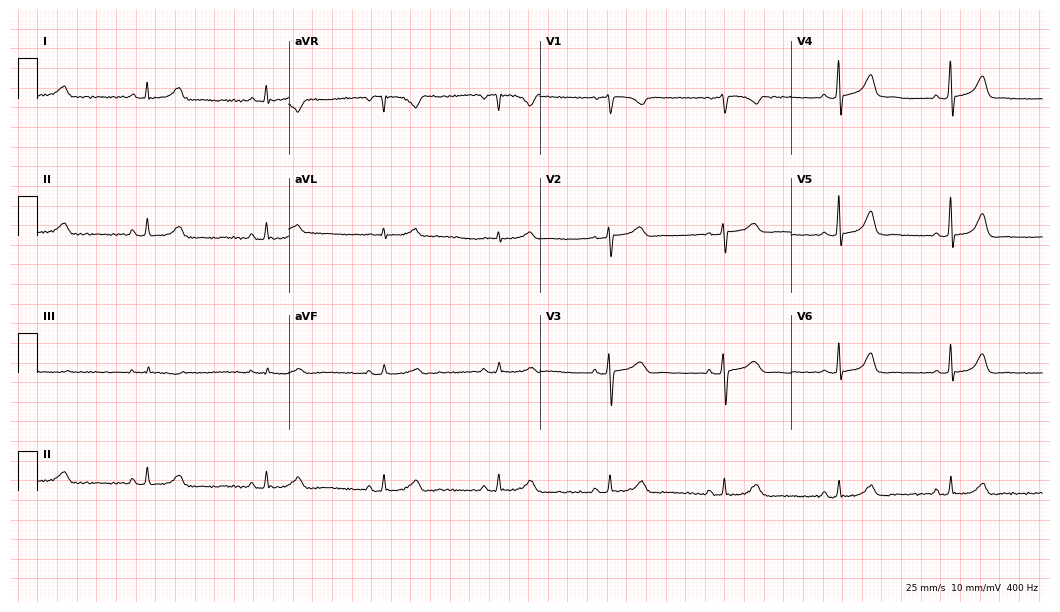
Electrocardiogram, a female patient, 50 years old. Of the six screened findings (first-degree AV block, right bundle branch block (RBBB), left bundle branch block (LBBB), sinus bradycardia, atrial fibrillation (AF), sinus tachycardia), none is recorded.